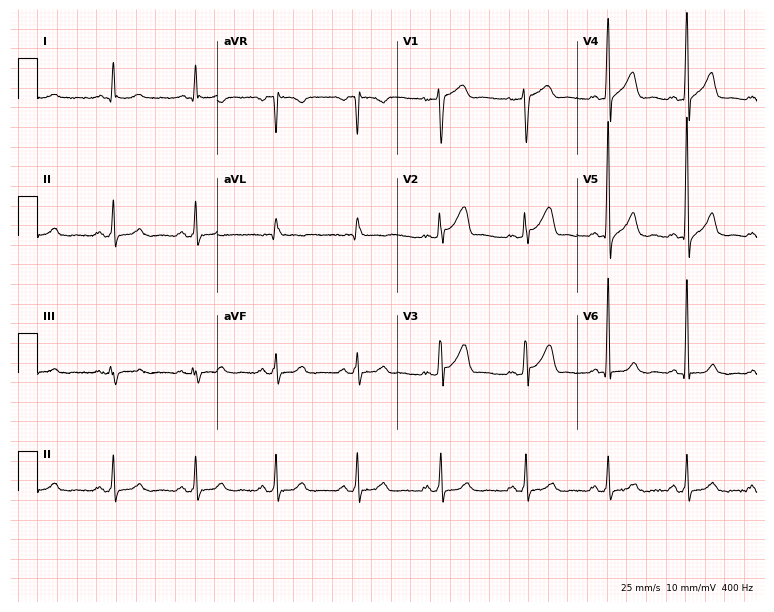
Standard 12-lead ECG recorded from a male patient, 49 years old (7.3-second recording at 400 Hz). Read as a normal ECG.